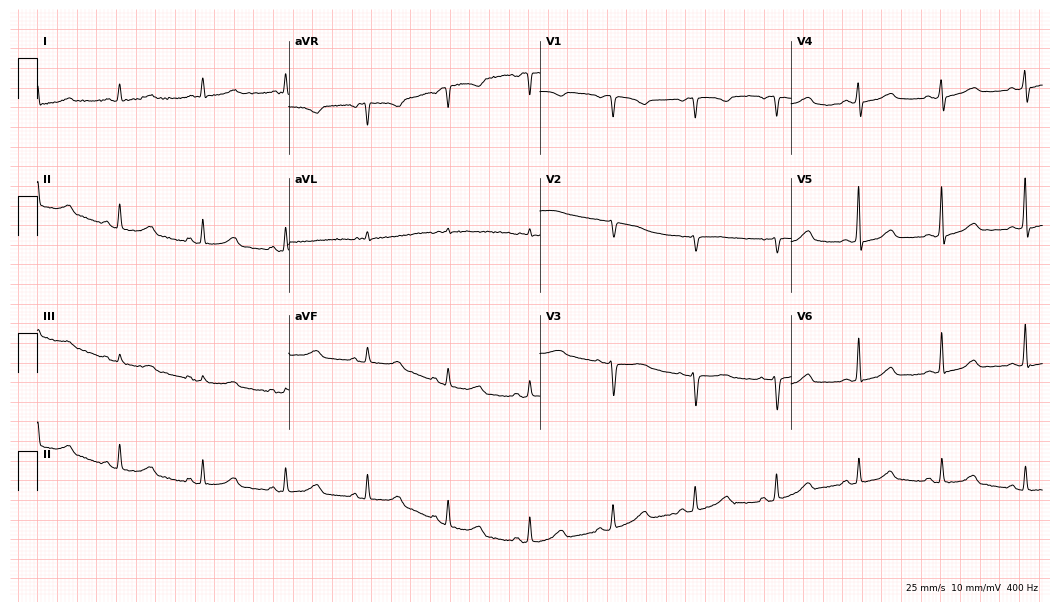
Standard 12-lead ECG recorded from a female patient, 53 years old. None of these six findings is recorded: first-degree AV block, right bundle branch block, left bundle branch block, sinus bradycardia, atrial fibrillation, sinus tachycardia. Other findings, if any, are not listed.